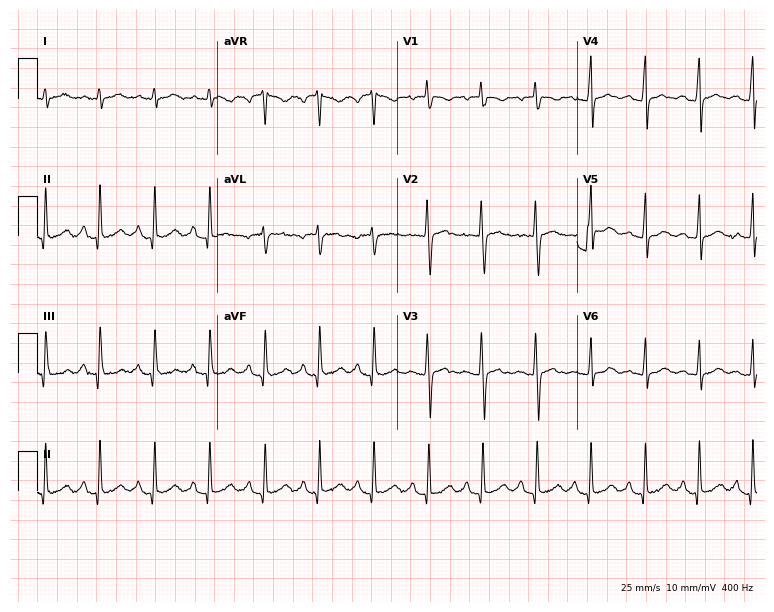
12-lead ECG from a 22-year-old female patient. Findings include sinus tachycardia (a sinus rate of 100 beats per minute or more).